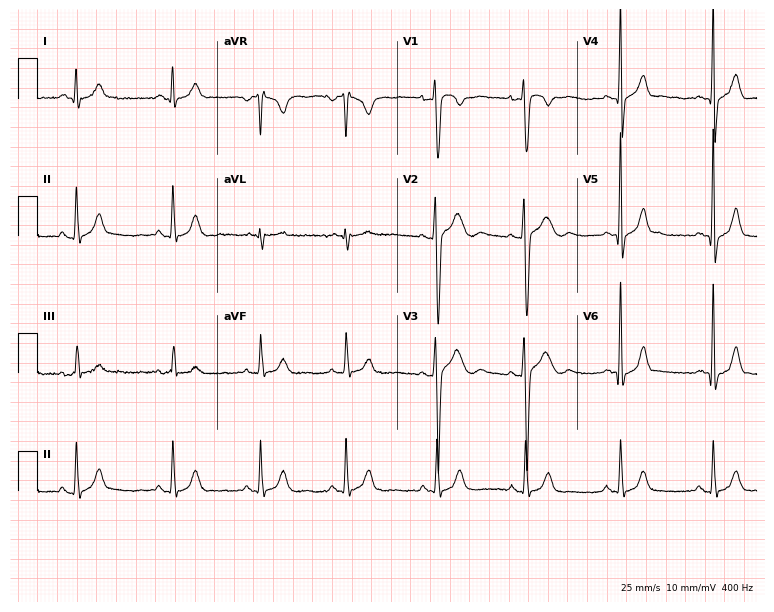
Electrocardiogram (7.3-second recording at 400 Hz), a man, 24 years old. Overall reading on record: normal ECG.